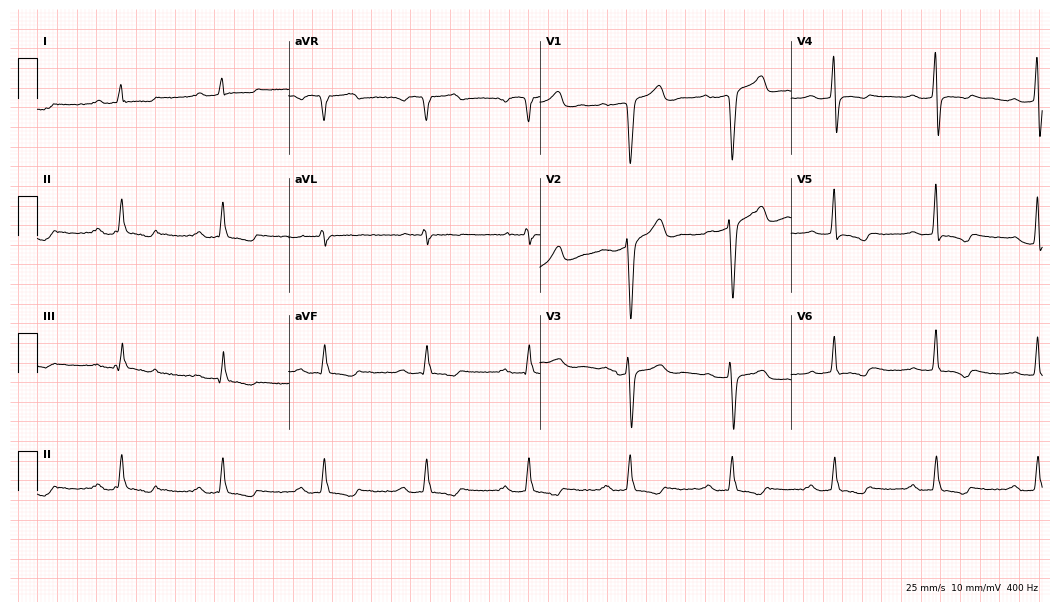
ECG — a male patient, 73 years old. Findings include first-degree AV block.